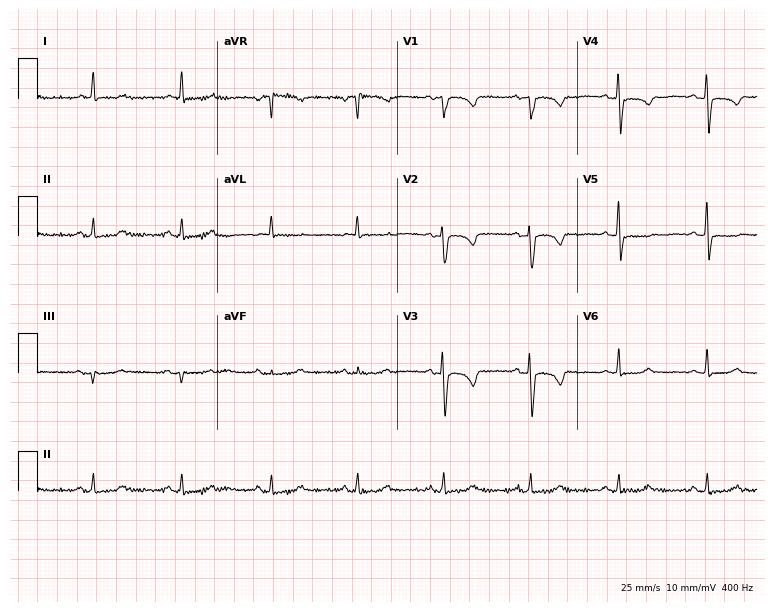
12-lead ECG from a 73-year-old female (7.3-second recording at 400 Hz). No first-degree AV block, right bundle branch block, left bundle branch block, sinus bradycardia, atrial fibrillation or sinus tachycardia recorded for this tracing.